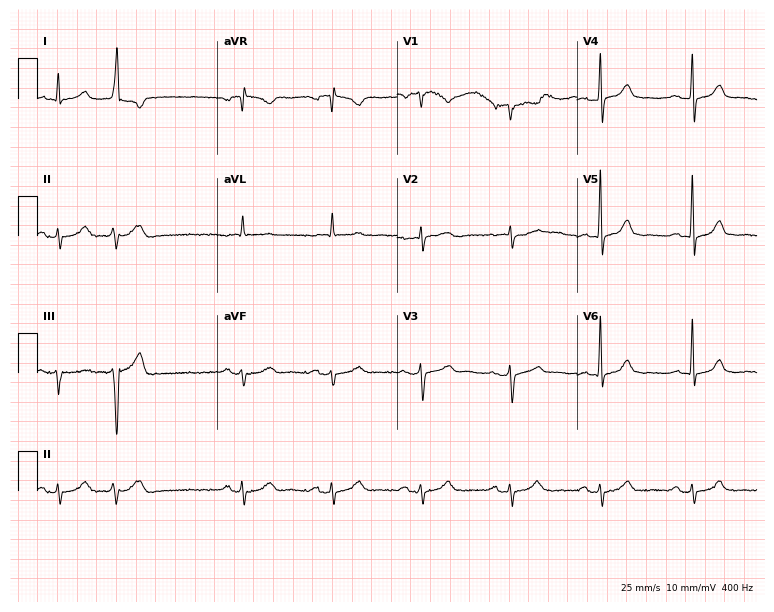
12-lead ECG from a male, 79 years old. Labelled as a normal ECG.